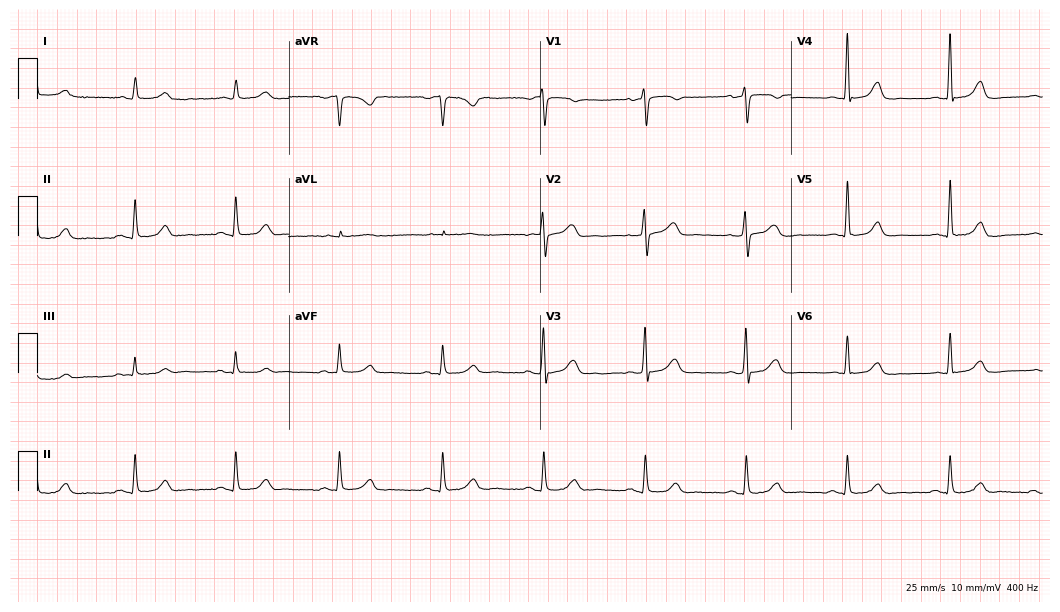
12-lead ECG (10.2-second recording at 400 Hz) from a female, 75 years old. Labelled as a normal ECG.